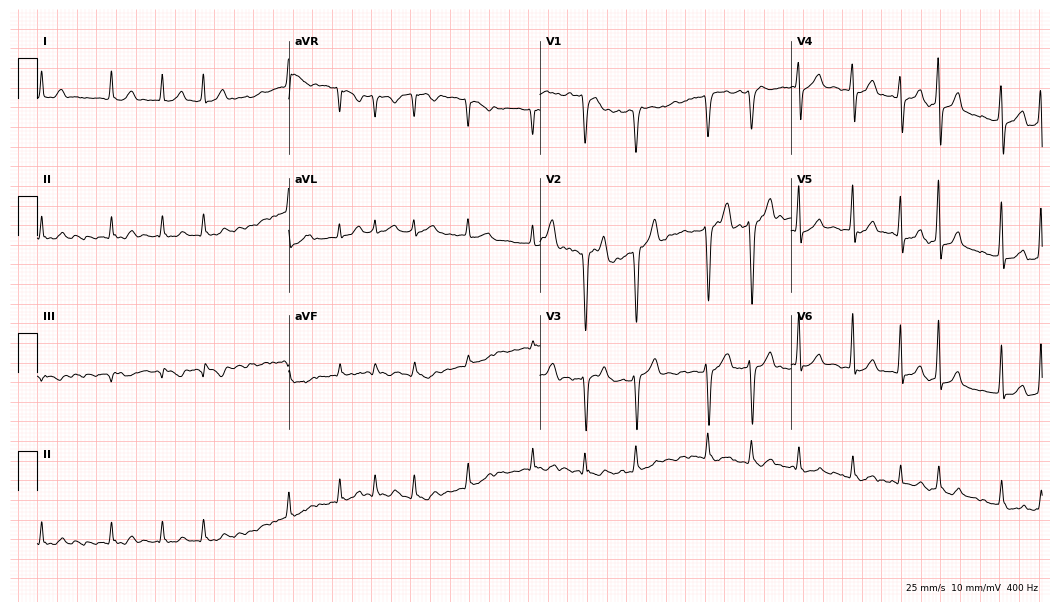
ECG (10.2-second recording at 400 Hz) — a 49-year-old man. Findings include atrial fibrillation.